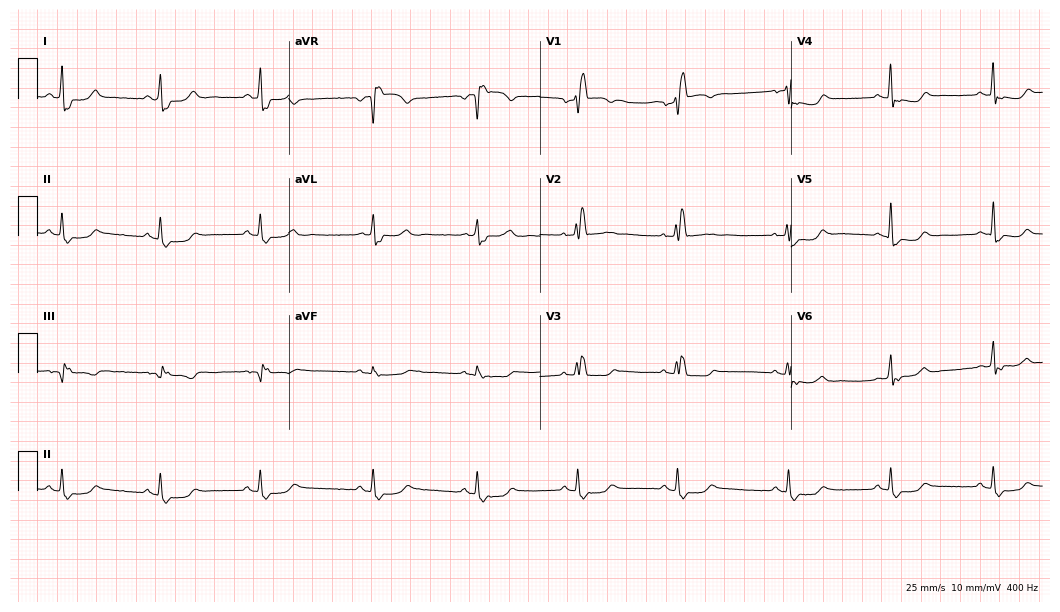
ECG (10.2-second recording at 400 Hz) — a 72-year-old female. Findings include right bundle branch block (RBBB).